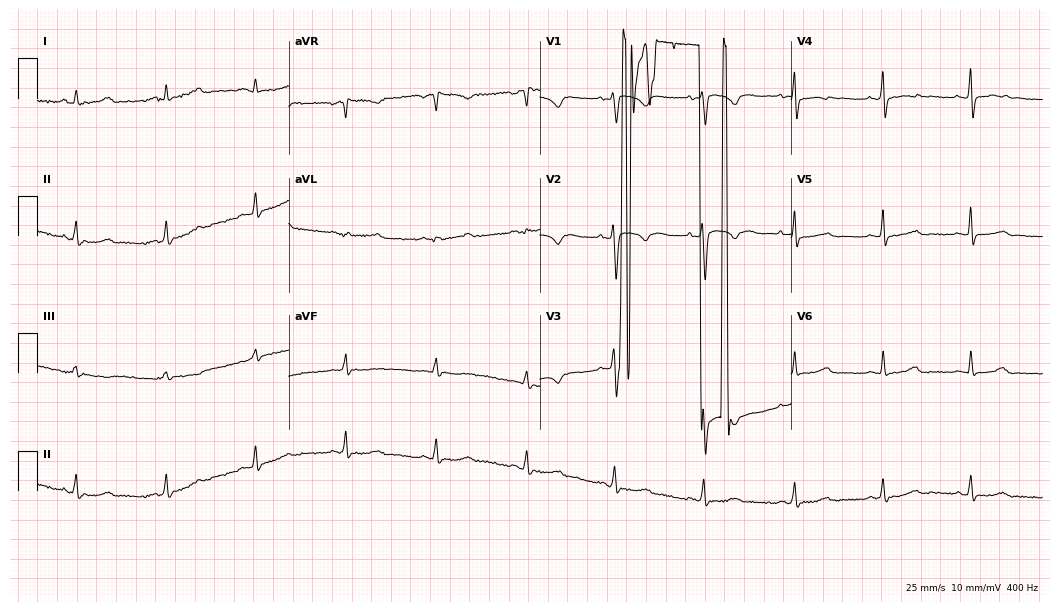
Electrocardiogram (10.2-second recording at 400 Hz), a 48-year-old woman. Of the six screened findings (first-degree AV block, right bundle branch block, left bundle branch block, sinus bradycardia, atrial fibrillation, sinus tachycardia), none is recorded. Other findings, if any, are not listed.